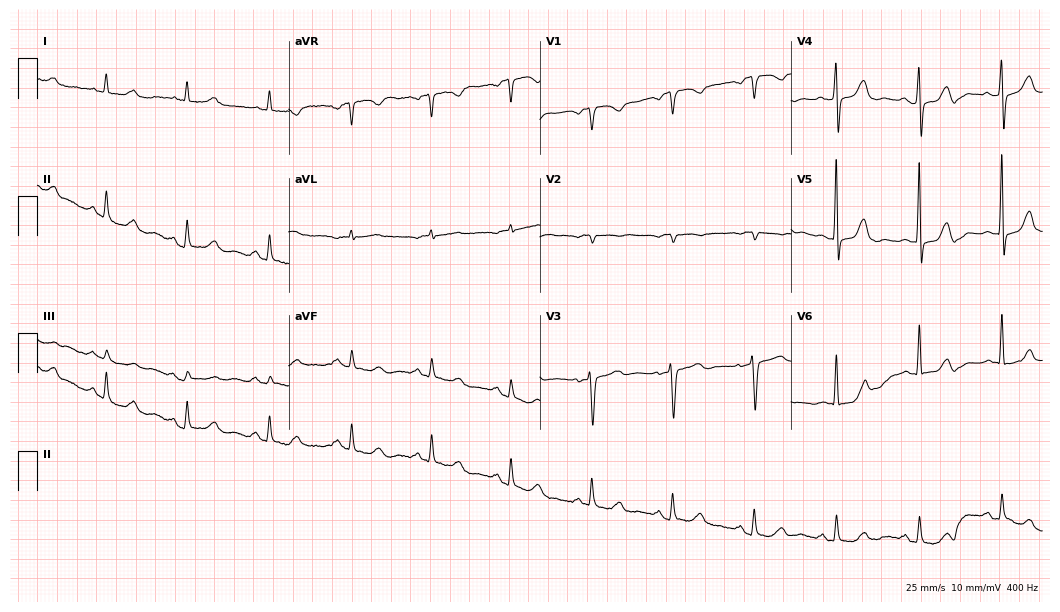
12-lead ECG from a woman, 72 years old. Labelled as a normal ECG.